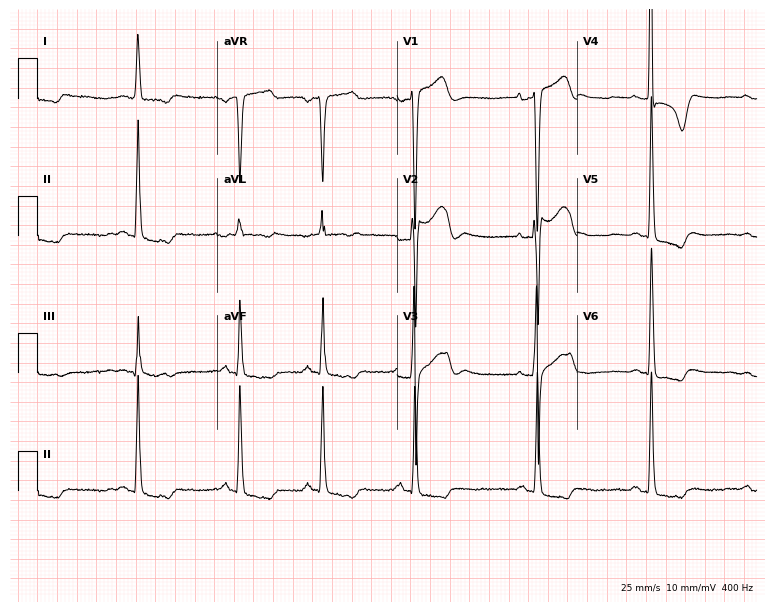
Standard 12-lead ECG recorded from an 83-year-old woman (7.3-second recording at 400 Hz). None of these six findings is recorded: first-degree AV block, right bundle branch block, left bundle branch block, sinus bradycardia, atrial fibrillation, sinus tachycardia. Only these six findings were labelled.